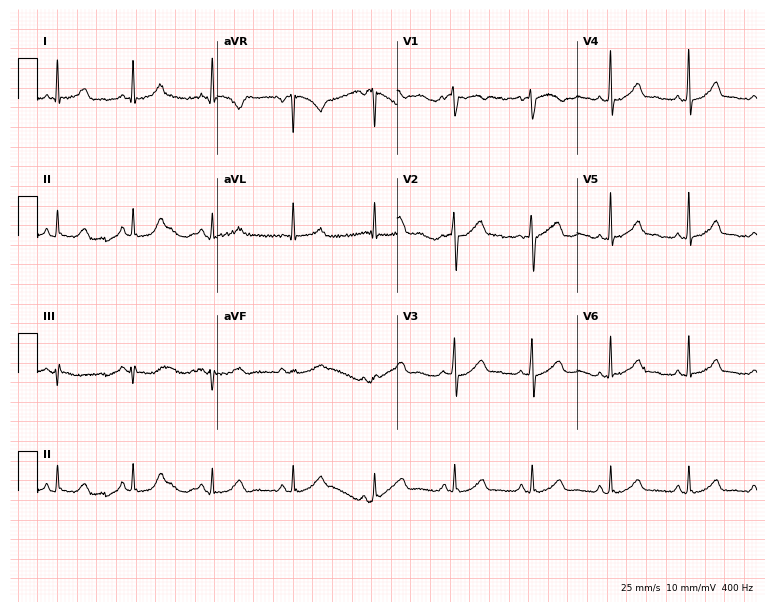
Electrocardiogram (7.3-second recording at 400 Hz), a 52-year-old female. Of the six screened findings (first-degree AV block, right bundle branch block, left bundle branch block, sinus bradycardia, atrial fibrillation, sinus tachycardia), none is recorded.